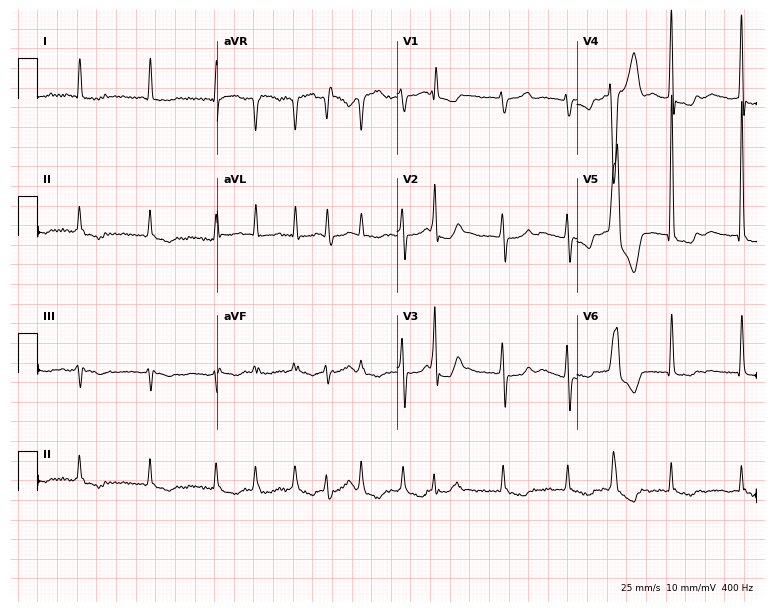
12-lead ECG from a female, 80 years old (7.3-second recording at 400 Hz). Shows atrial fibrillation.